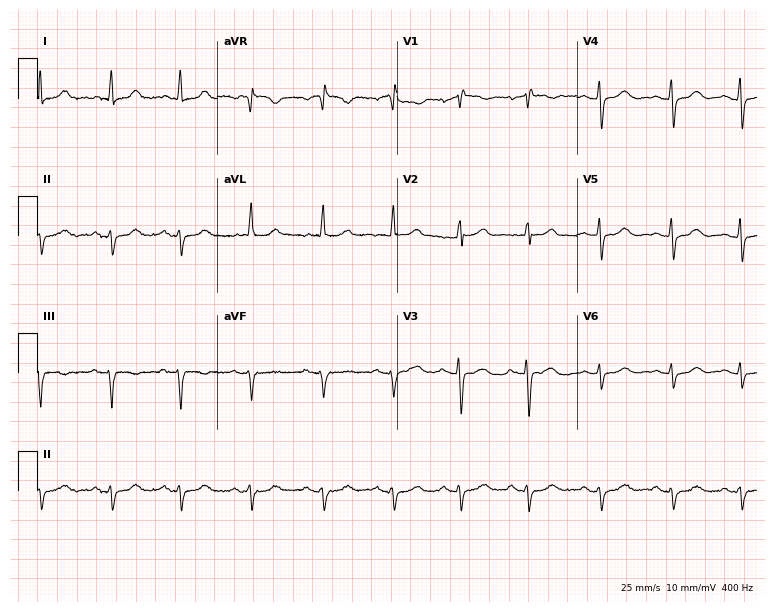
ECG (7.3-second recording at 400 Hz) — a 76-year-old woman. Screened for six findings — first-degree AV block, right bundle branch block, left bundle branch block, sinus bradycardia, atrial fibrillation, sinus tachycardia — none is recorded.